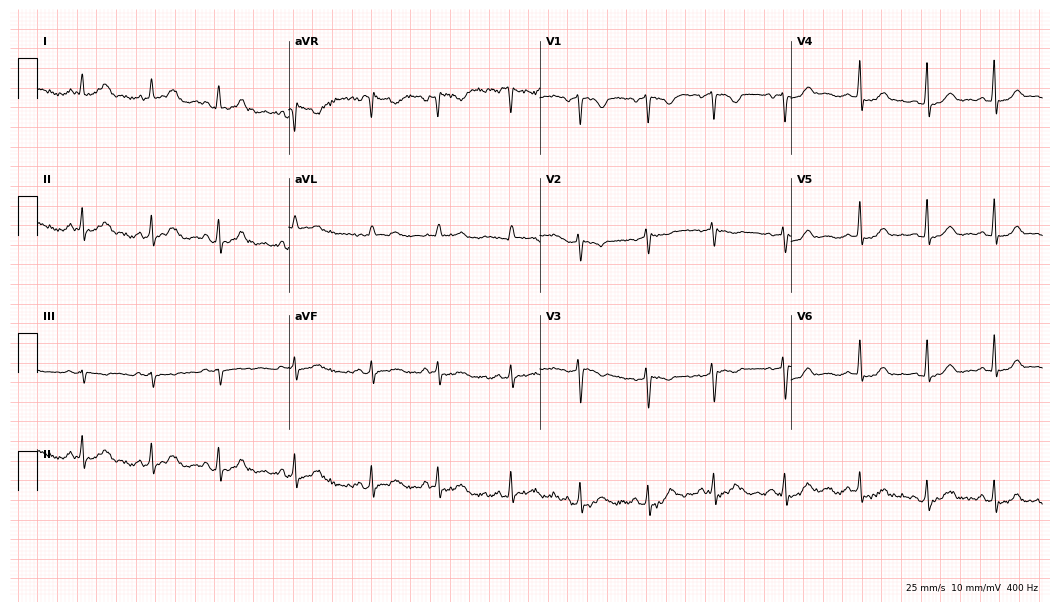
12-lead ECG from a female, 27 years old. Labelled as a normal ECG.